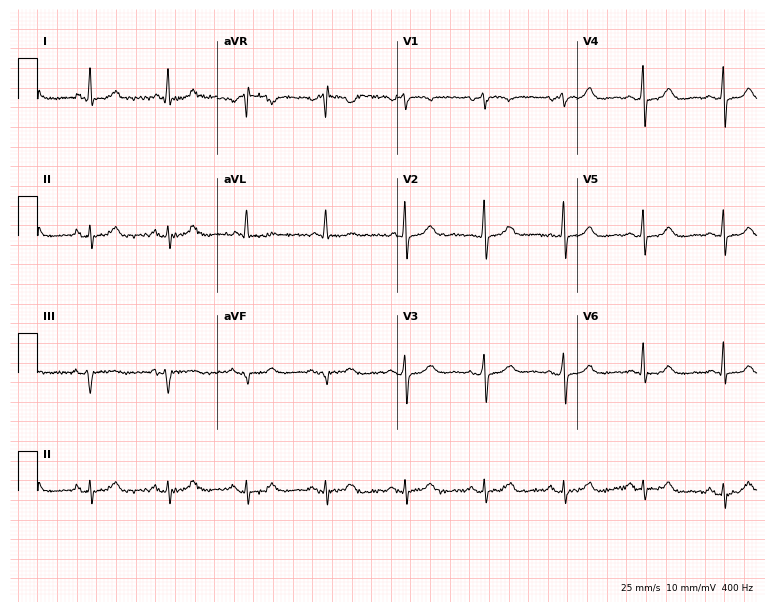
Standard 12-lead ECG recorded from a woman, 64 years old. Read as a normal ECG.